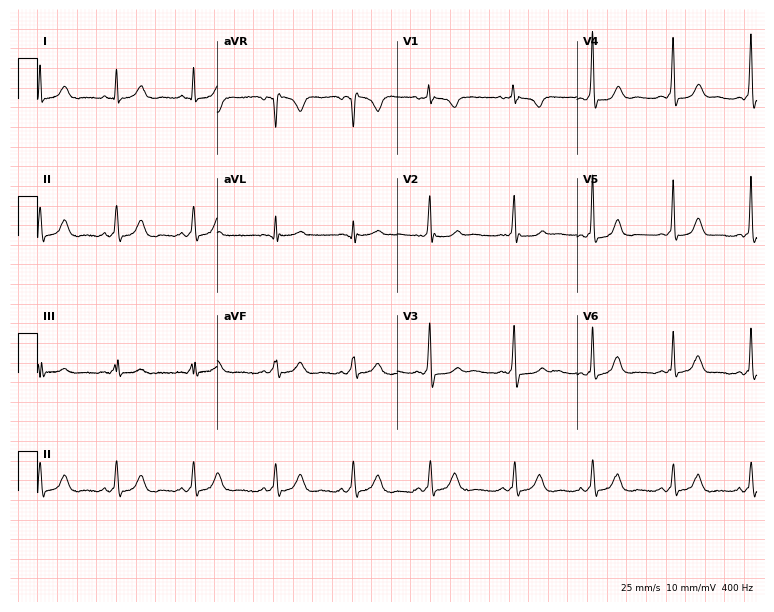
ECG (7.3-second recording at 400 Hz) — a 23-year-old female. Labelled as a normal ECG.